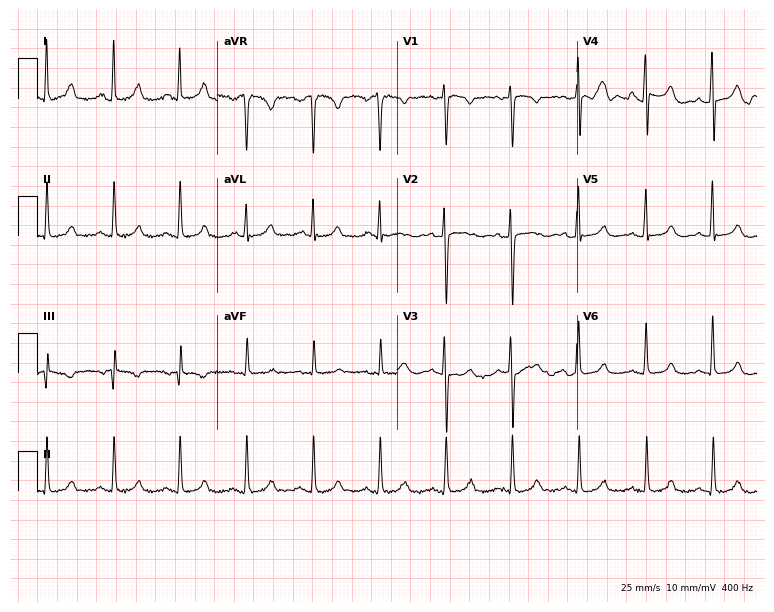
12-lead ECG from a 42-year-old woman (7.3-second recording at 400 Hz). No first-degree AV block, right bundle branch block, left bundle branch block, sinus bradycardia, atrial fibrillation or sinus tachycardia recorded for this tracing. Other findings, if any, are not listed.